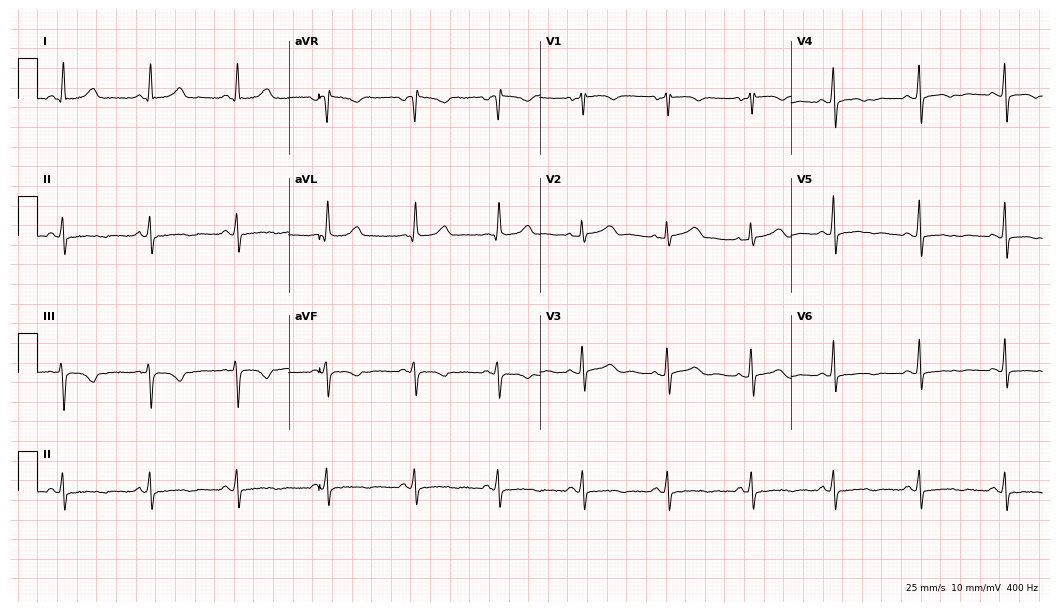
12-lead ECG from a 51-year-old female (10.2-second recording at 400 Hz). No first-degree AV block, right bundle branch block, left bundle branch block, sinus bradycardia, atrial fibrillation or sinus tachycardia recorded for this tracing.